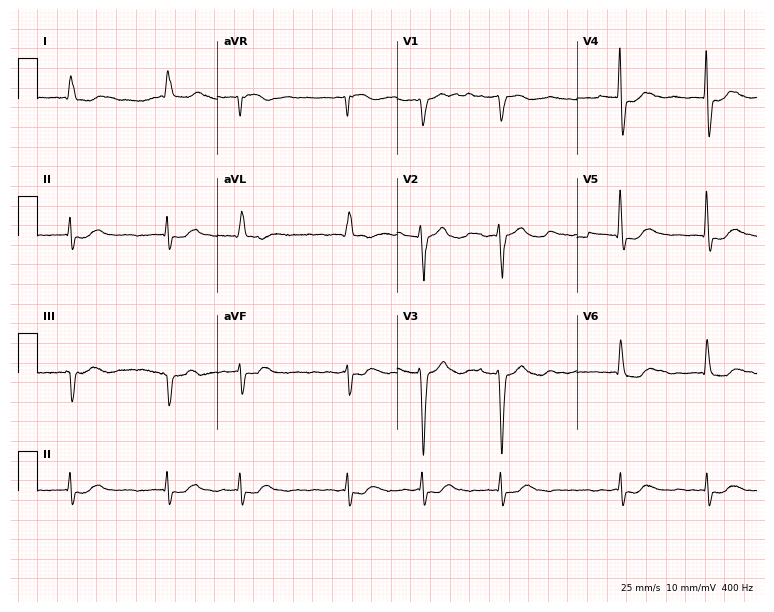
ECG — a man, 78 years old. Findings include atrial fibrillation.